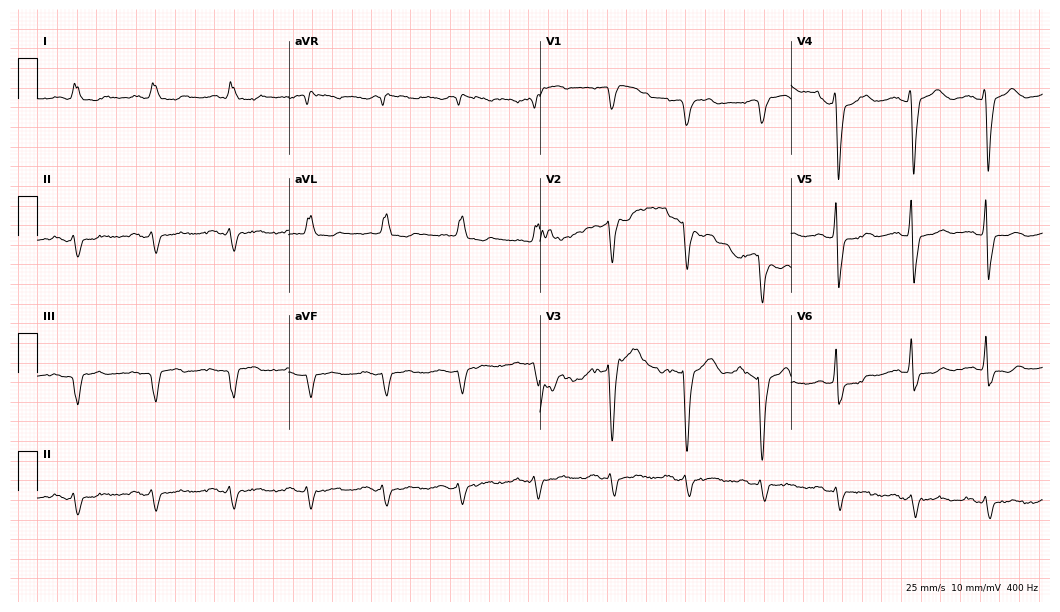
Electrocardiogram, a male, 79 years old. Interpretation includes left bundle branch block.